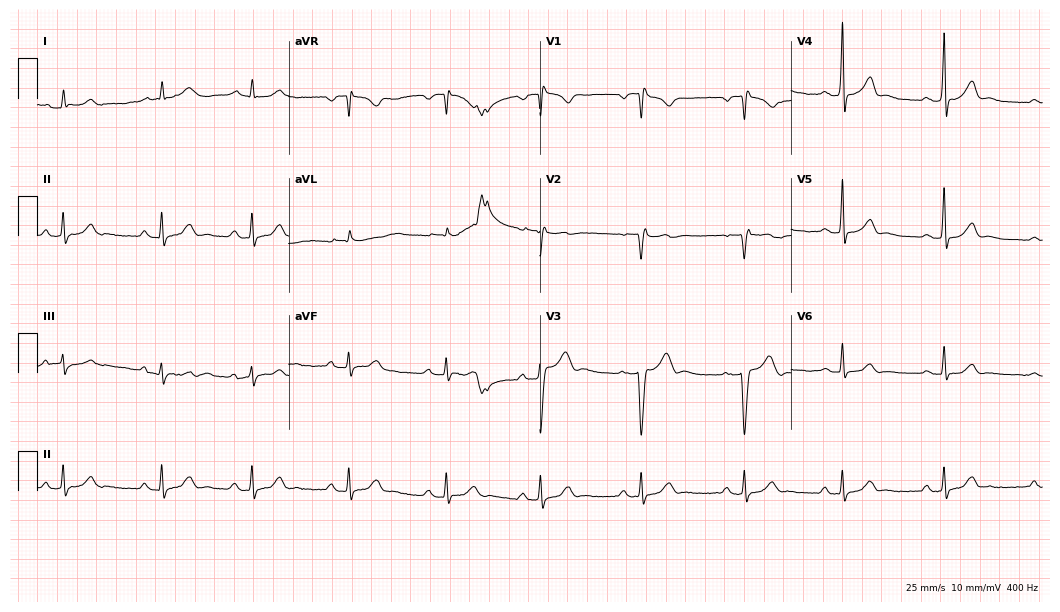
Resting 12-lead electrocardiogram (10.2-second recording at 400 Hz). Patient: a 27-year-old man. None of these six findings is recorded: first-degree AV block, right bundle branch block, left bundle branch block, sinus bradycardia, atrial fibrillation, sinus tachycardia. Other findings, if any, are not listed.